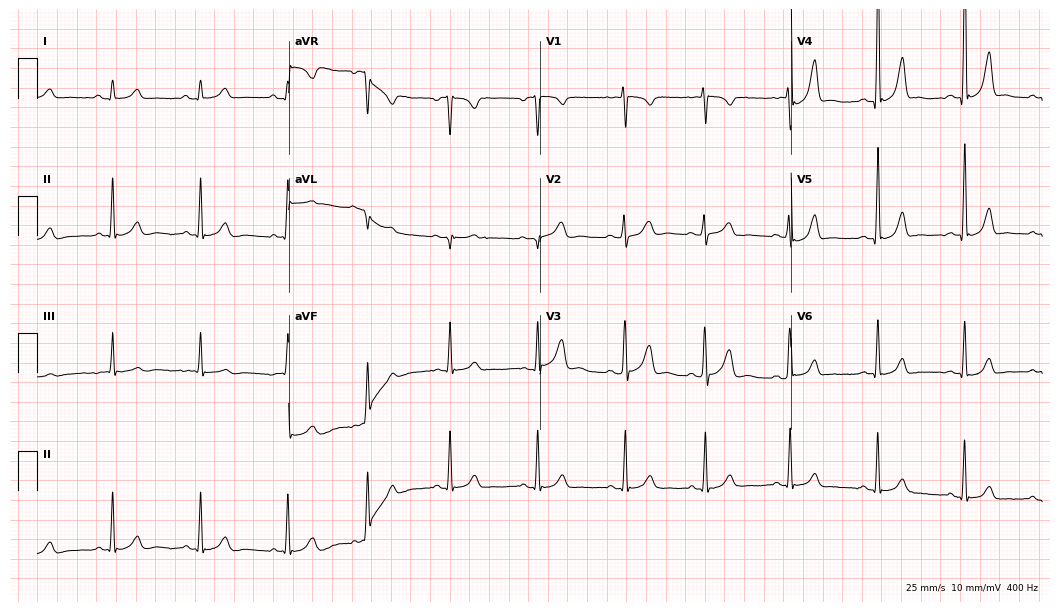
Electrocardiogram, an 18-year-old female patient. Overall reading on record: normal ECG.